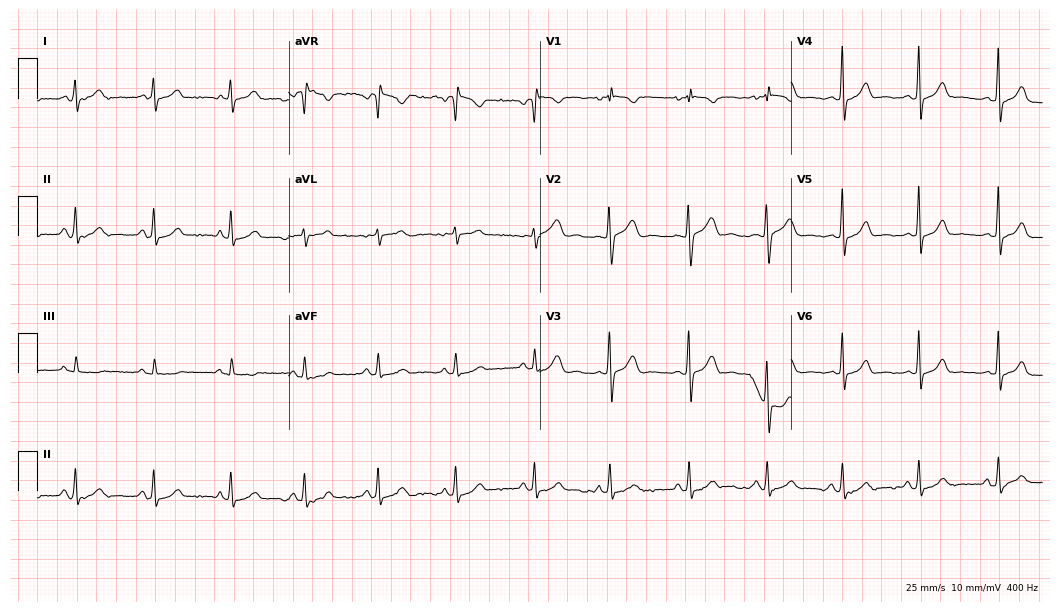
12-lead ECG (10.2-second recording at 400 Hz) from a female, 21 years old. Labelled as a normal ECG.